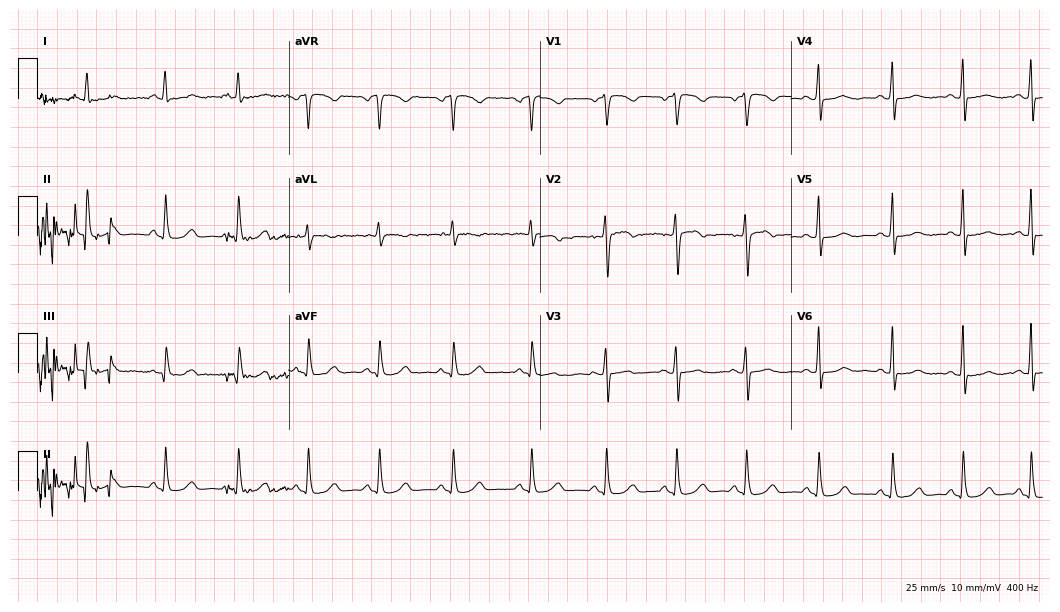
ECG — a woman, 48 years old. Labelled as a normal ECG.